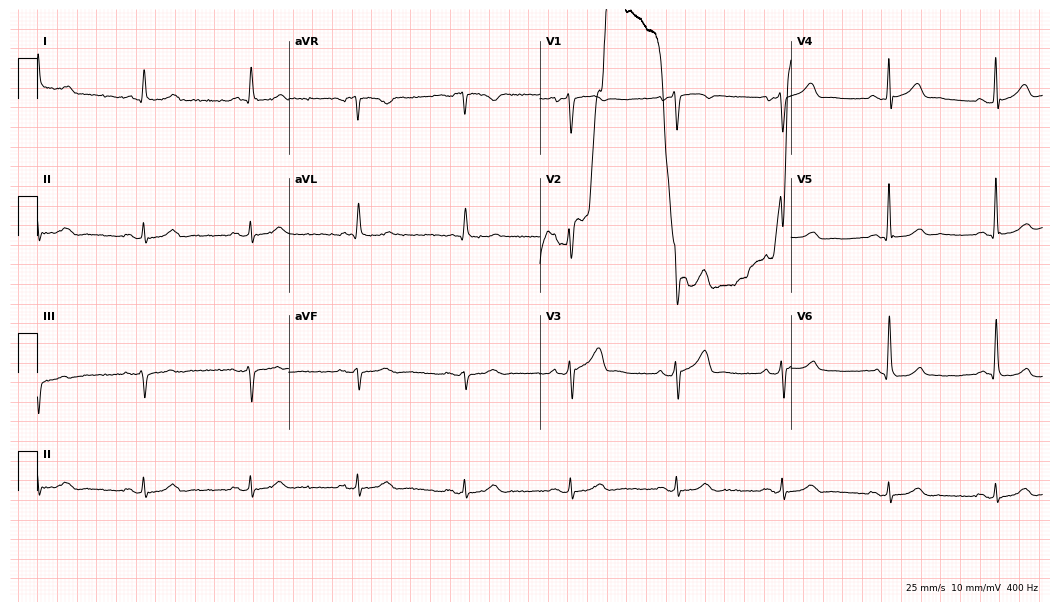
12-lead ECG (10.2-second recording at 400 Hz) from an 80-year-old male. Screened for six findings — first-degree AV block, right bundle branch block, left bundle branch block, sinus bradycardia, atrial fibrillation, sinus tachycardia — none is recorded. Findings outside these six are not listed.